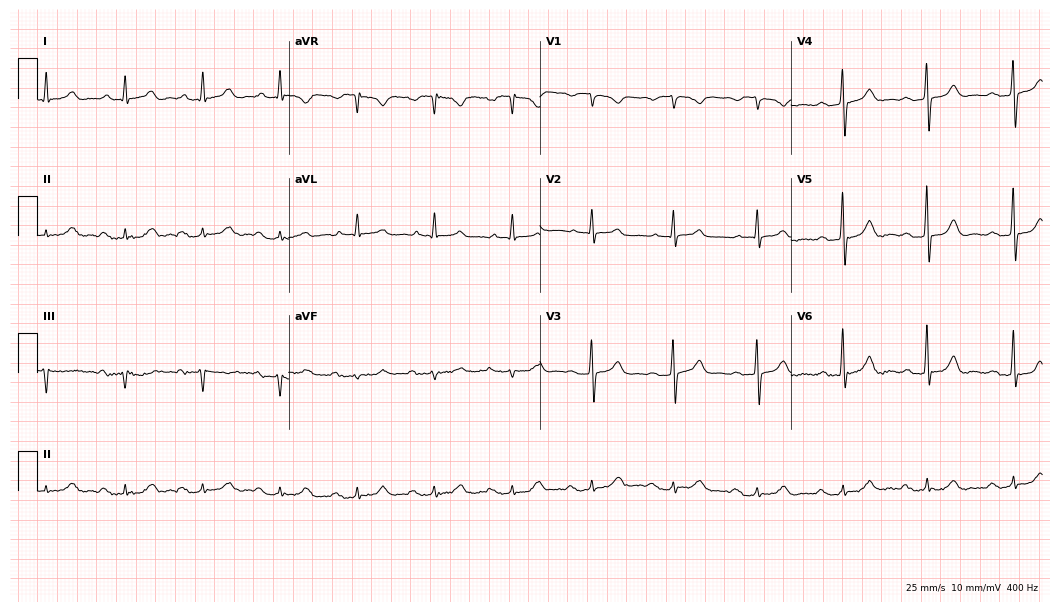
Electrocardiogram (10.2-second recording at 400 Hz), a man, 59 years old. Overall reading on record: normal ECG.